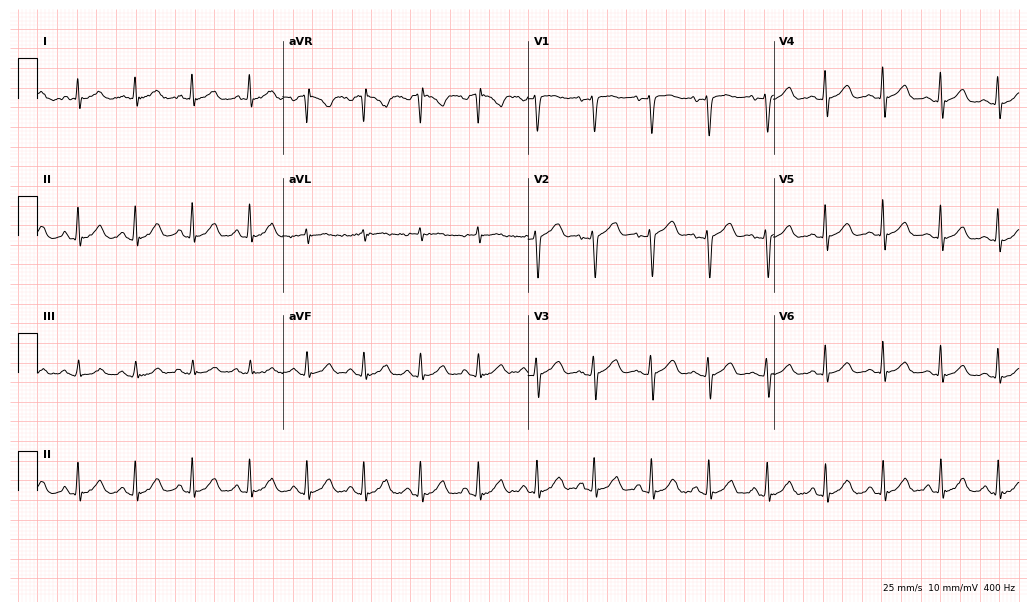
ECG (10-second recording at 400 Hz) — a female patient, 49 years old. Findings include sinus tachycardia (a sinus rate of 100 beats per minute or more).